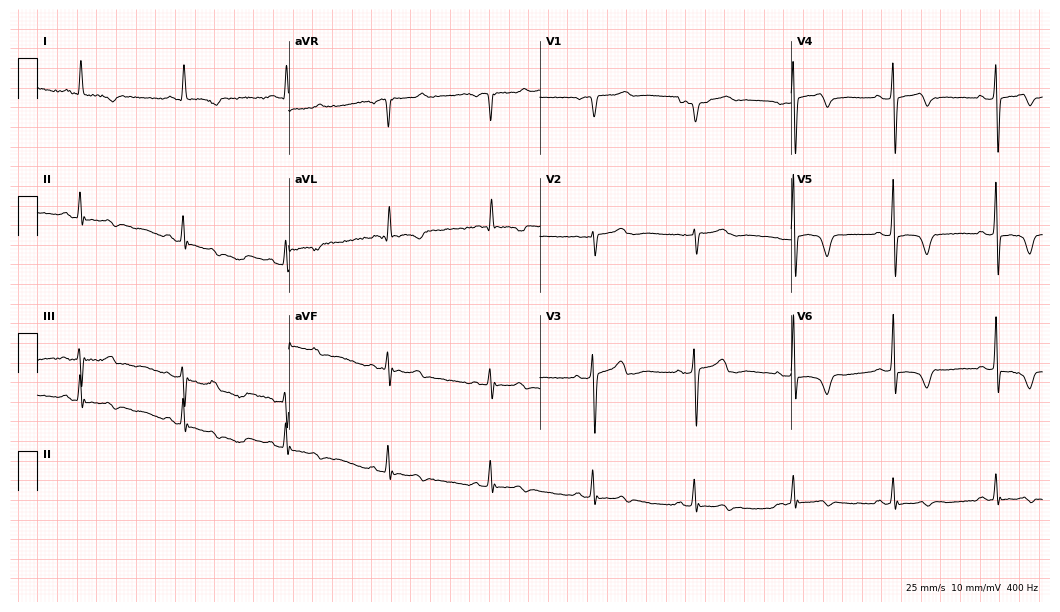
Electrocardiogram, a female patient, 79 years old. Of the six screened findings (first-degree AV block, right bundle branch block, left bundle branch block, sinus bradycardia, atrial fibrillation, sinus tachycardia), none is recorded. Only these six findings were labelled.